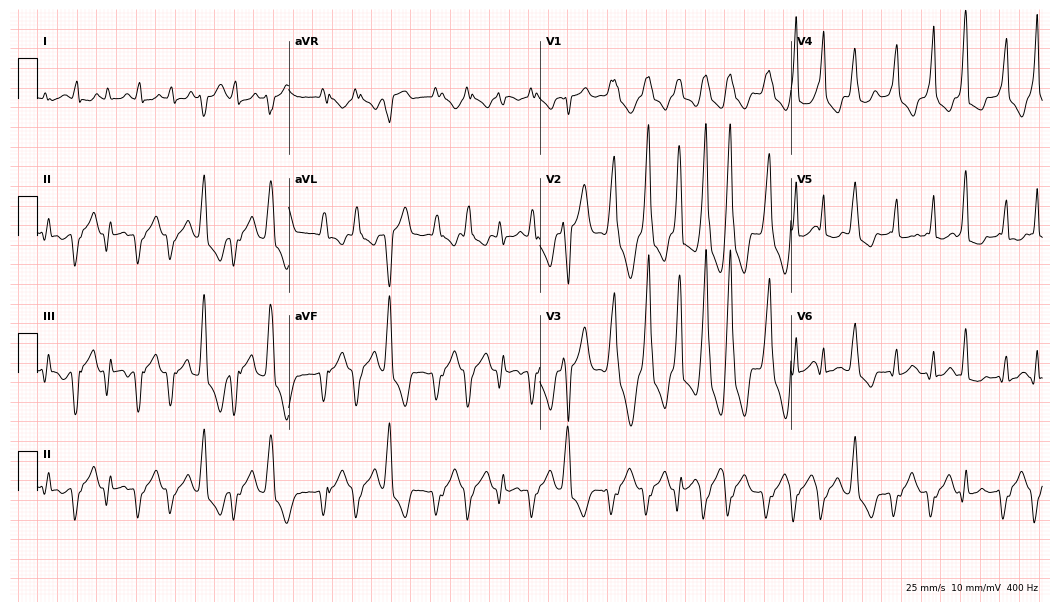
Electrocardiogram, a female patient, 35 years old. Of the six screened findings (first-degree AV block, right bundle branch block, left bundle branch block, sinus bradycardia, atrial fibrillation, sinus tachycardia), none is recorded. Findings outside these six are not listed.